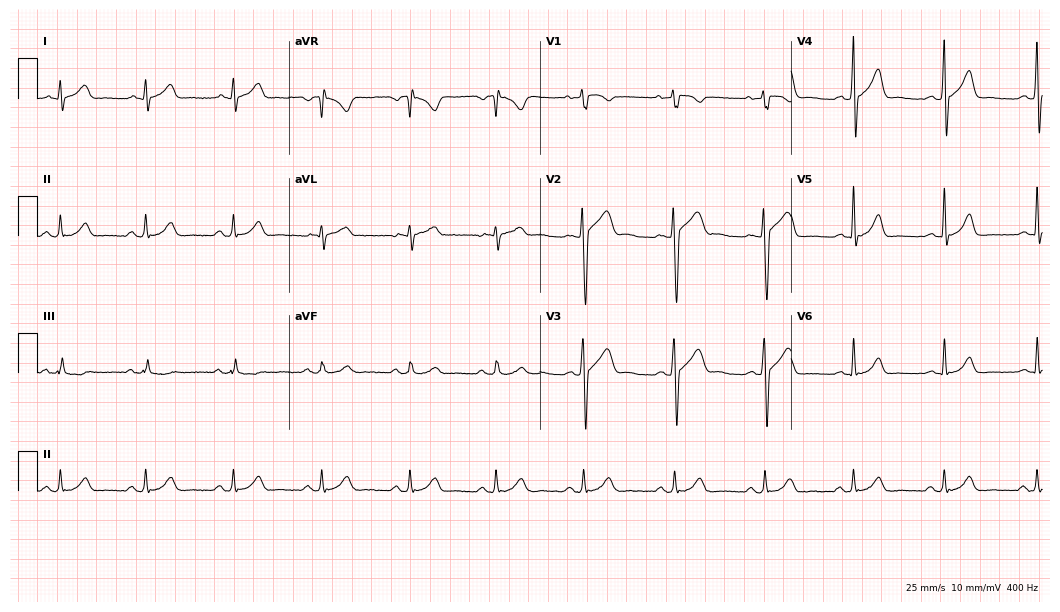
ECG — a man, 33 years old. Screened for six findings — first-degree AV block, right bundle branch block (RBBB), left bundle branch block (LBBB), sinus bradycardia, atrial fibrillation (AF), sinus tachycardia — none is recorded. Findings outside these six are not listed.